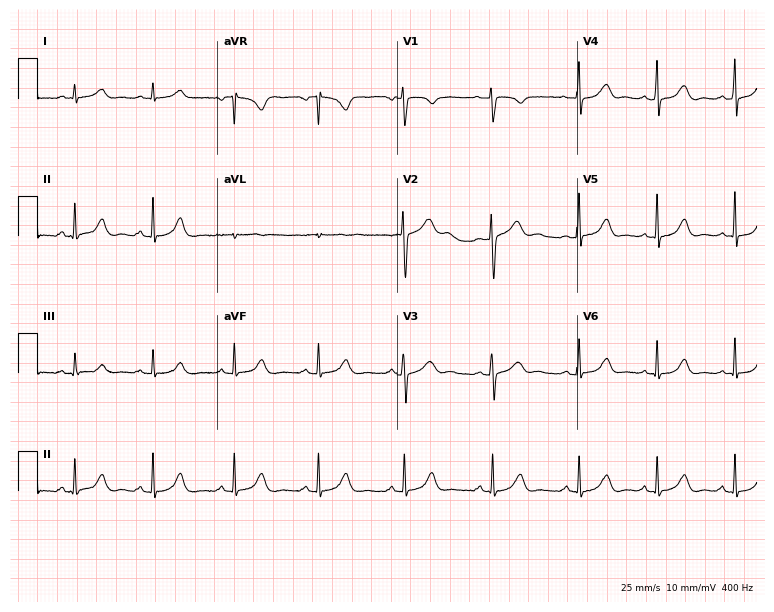
Electrocardiogram (7.3-second recording at 400 Hz), a female, 36 years old. Overall reading on record: normal ECG.